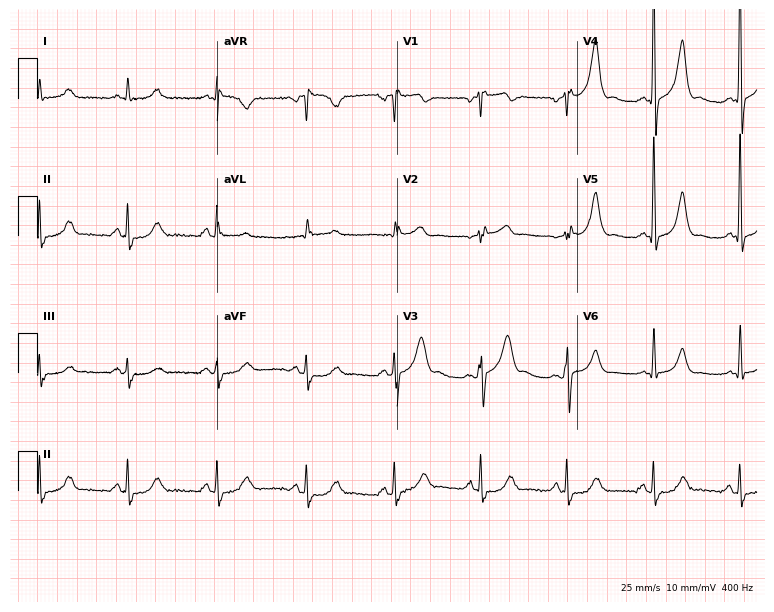
ECG — a 67-year-old female. Labelled as a normal ECG.